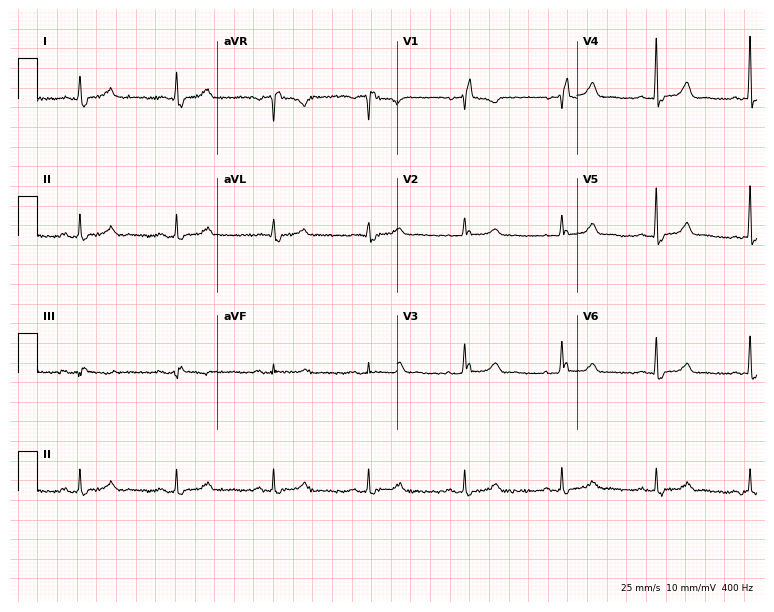
12-lead ECG from a 69-year-old female (7.3-second recording at 400 Hz). Shows right bundle branch block.